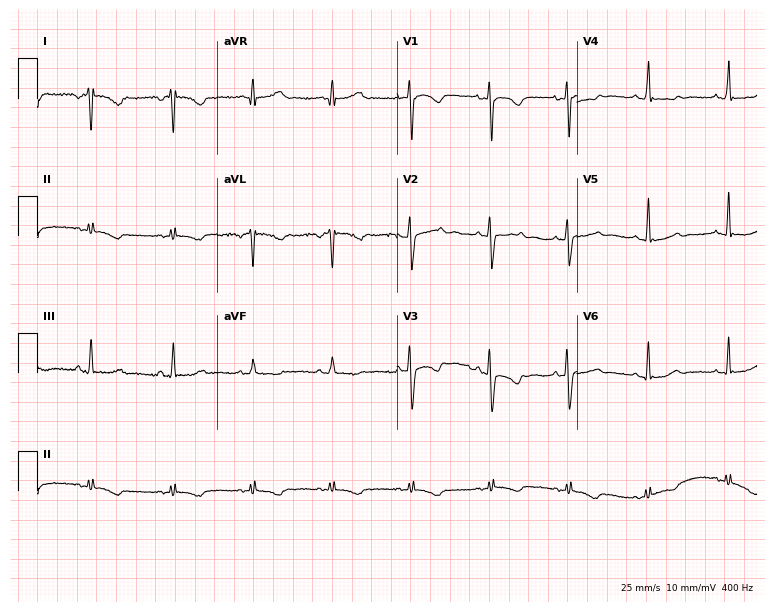
Standard 12-lead ECG recorded from a woman, 28 years old. None of these six findings is recorded: first-degree AV block, right bundle branch block, left bundle branch block, sinus bradycardia, atrial fibrillation, sinus tachycardia.